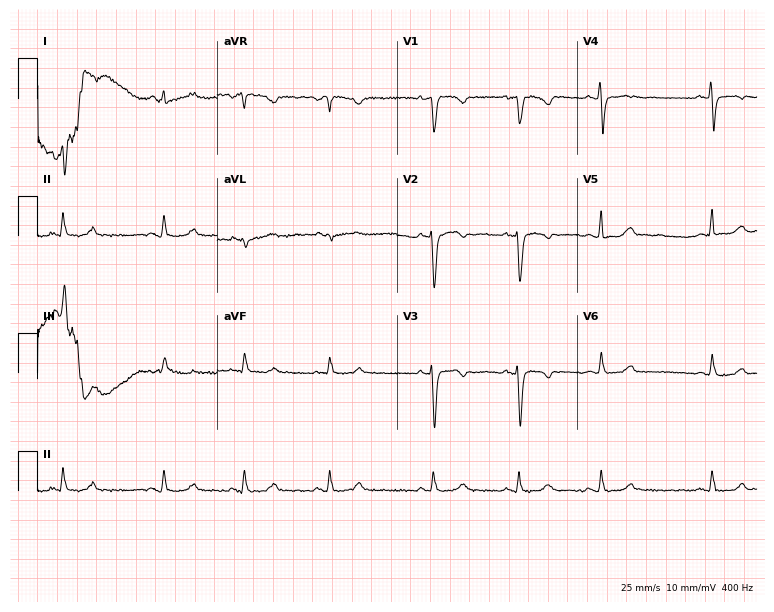
12-lead ECG from a female, 34 years old (7.3-second recording at 400 Hz). No first-degree AV block, right bundle branch block (RBBB), left bundle branch block (LBBB), sinus bradycardia, atrial fibrillation (AF) or sinus tachycardia recorded for this tracing. Other findings, if any, are not listed.